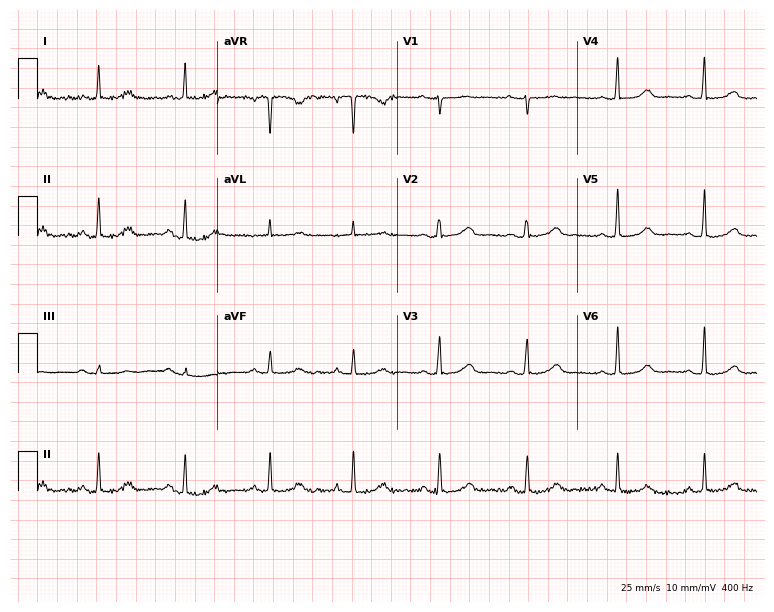
12-lead ECG from a female, 48 years old. Recorded interpretation: within normal limits.